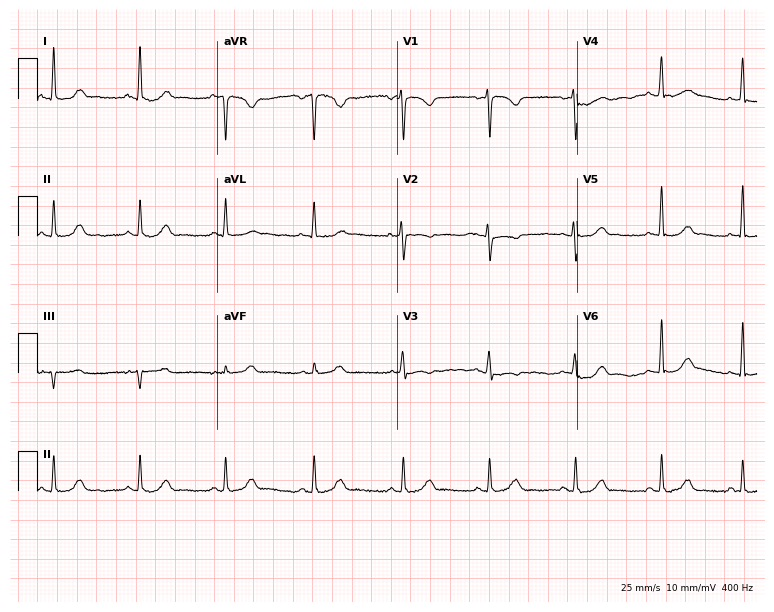
Resting 12-lead electrocardiogram. Patient: a 32-year-old female. None of these six findings is recorded: first-degree AV block, right bundle branch block, left bundle branch block, sinus bradycardia, atrial fibrillation, sinus tachycardia.